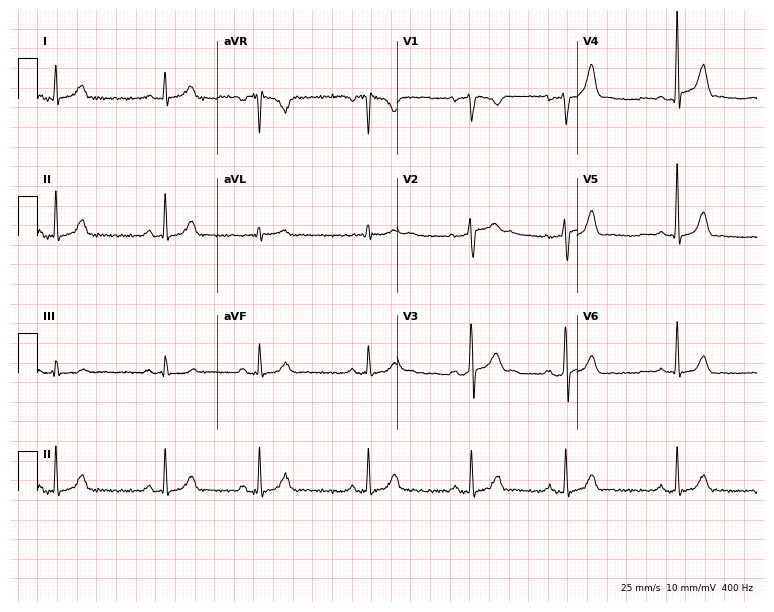
Resting 12-lead electrocardiogram. Patient: a 28-year-old male. None of these six findings is recorded: first-degree AV block, right bundle branch block (RBBB), left bundle branch block (LBBB), sinus bradycardia, atrial fibrillation (AF), sinus tachycardia. Findings outside these six are not listed.